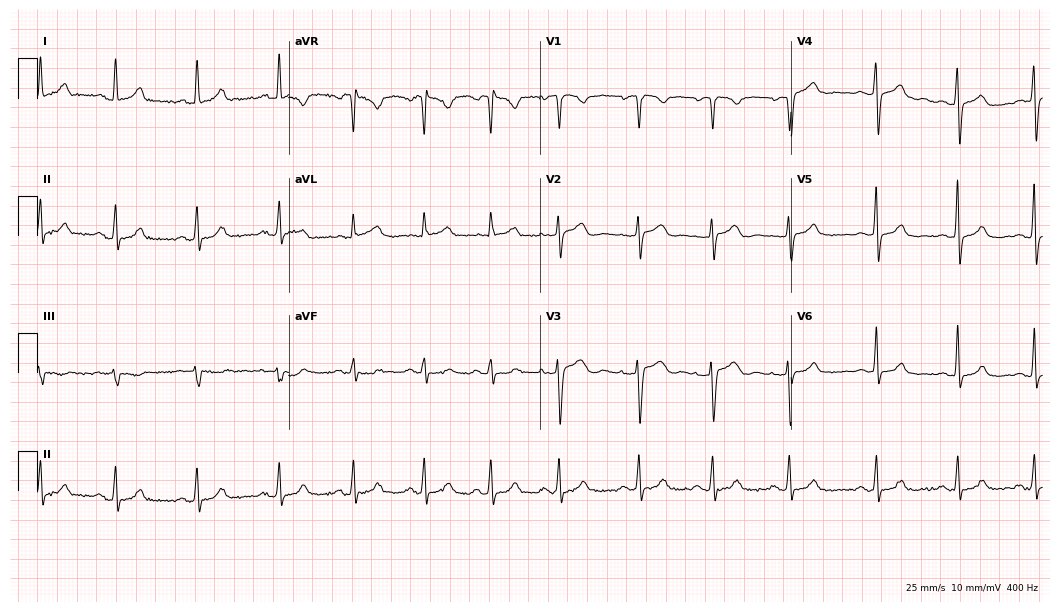
Electrocardiogram, a 38-year-old woman. Overall reading on record: normal ECG.